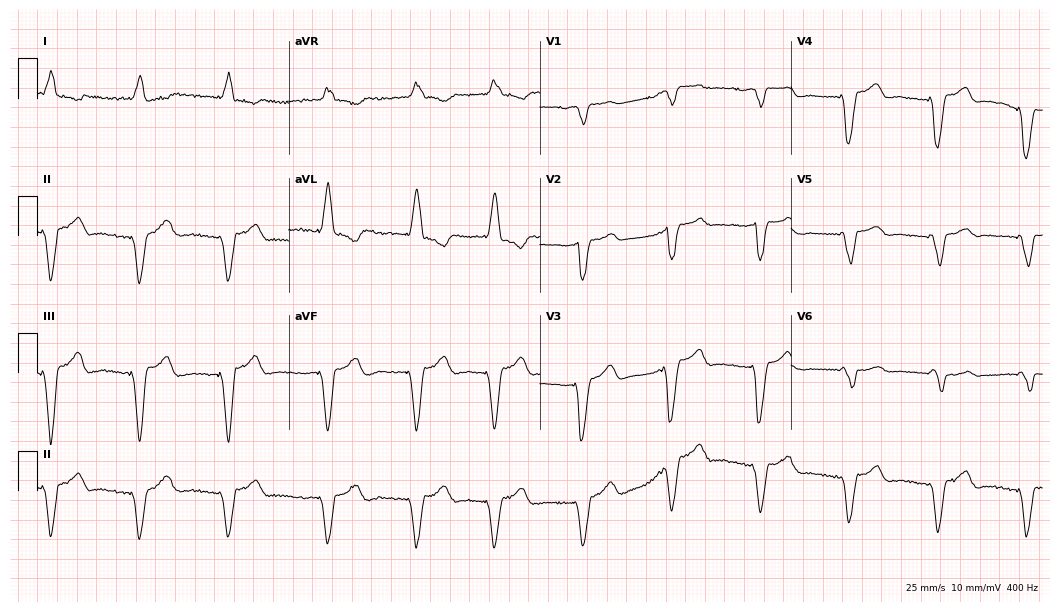
Electrocardiogram, a female patient, 38 years old. Of the six screened findings (first-degree AV block, right bundle branch block, left bundle branch block, sinus bradycardia, atrial fibrillation, sinus tachycardia), none is recorded. Only these six findings were labelled.